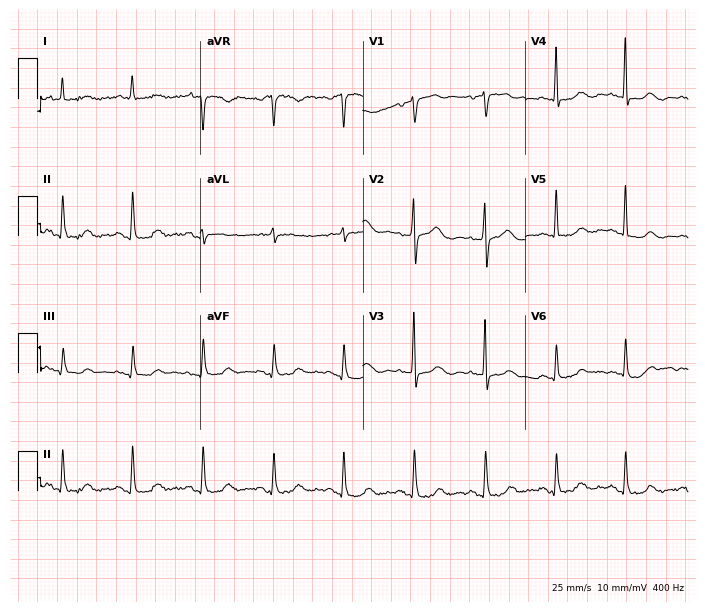
ECG — a woman, 84 years old. Labelled as a normal ECG.